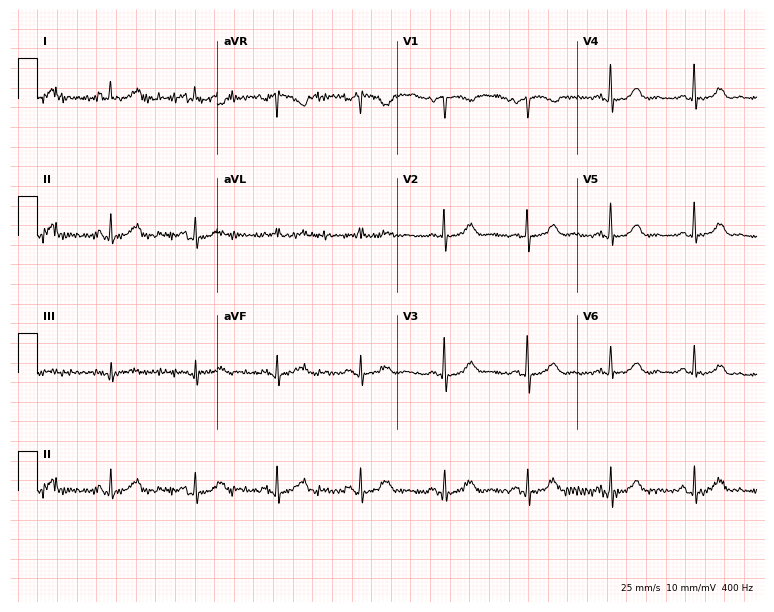
12-lead ECG (7.3-second recording at 400 Hz) from a 64-year-old female. Screened for six findings — first-degree AV block, right bundle branch block, left bundle branch block, sinus bradycardia, atrial fibrillation, sinus tachycardia — none is recorded. Other findings, if any, are not listed.